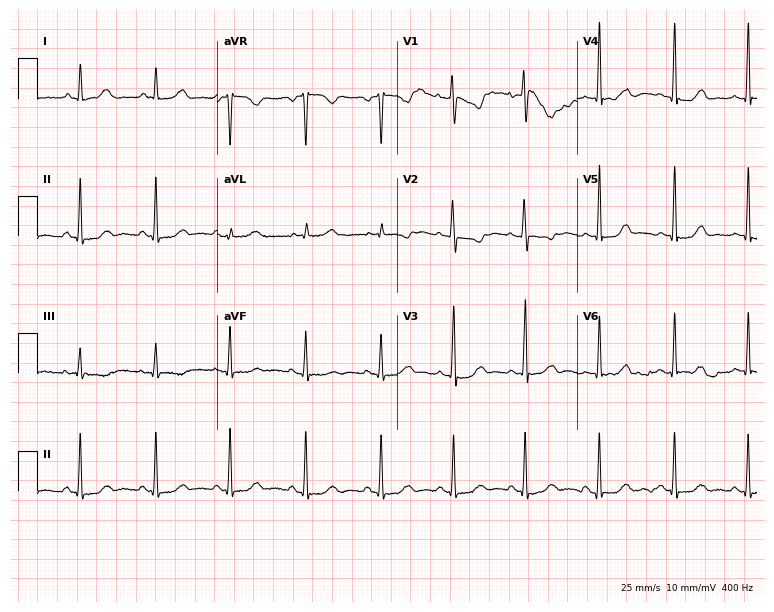
ECG (7.3-second recording at 400 Hz) — a 28-year-old female patient. Labelled as a normal ECG.